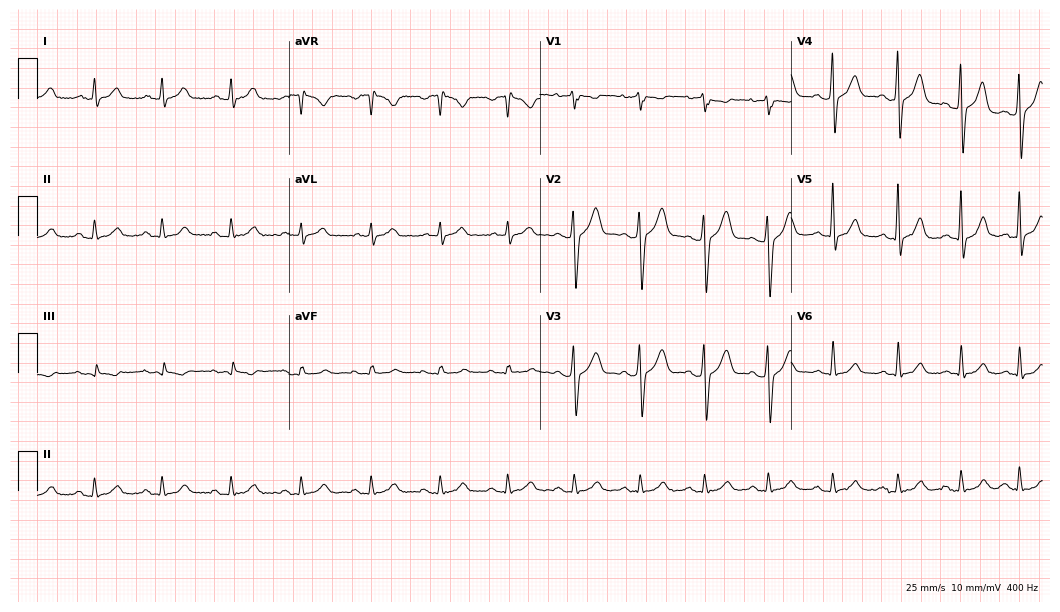
Resting 12-lead electrocardiogram. Patient: a man, 37 years old. None of these six findings is recorded: first-degree AV block, right bundle branch block (RBBB), left bundle branch block (LBBB), sinus bradycardia, atrial fibrillation (AF), sinus tachycardia. Other findings, if any, are not listed.